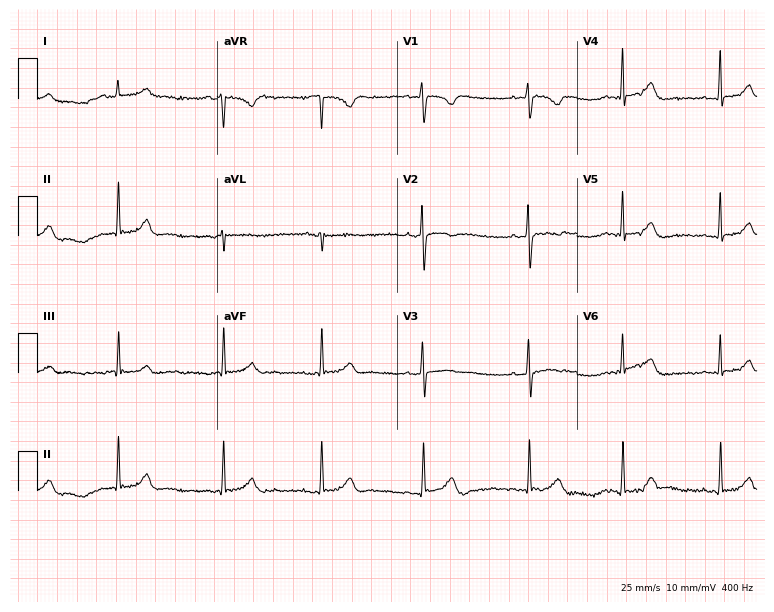
Standard 12-lead ECG recorded from a 22-year-old female. Read as a normal ECG.